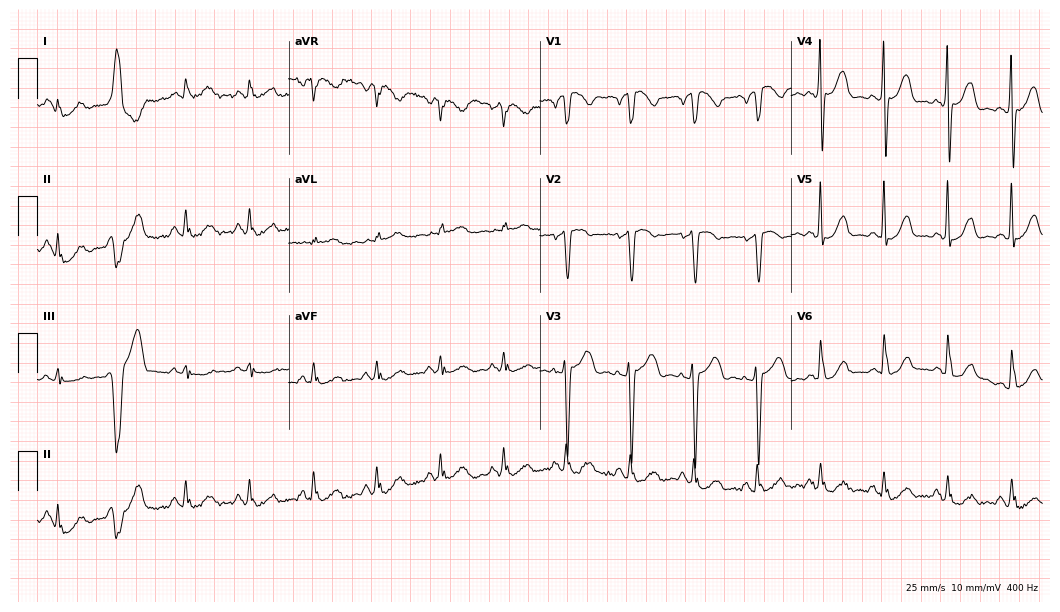
Electrocardiogram, a 61-year-old male patient. Of the six screened findings (first-degree AV block, right bundle branch block (RBBB), left bundle branch block (LBBB), sinus bradycardia, atrial fibrillation (AF), sinus tachycardia), none is recorded.